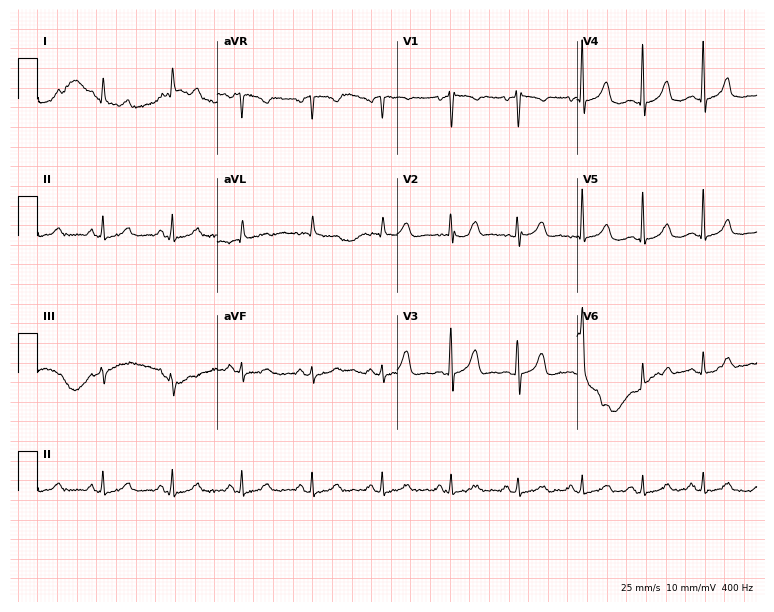
ECG (7.3-second recording at 400 Hz) — a 68-year-old woman. Labelled as a normal ECG.